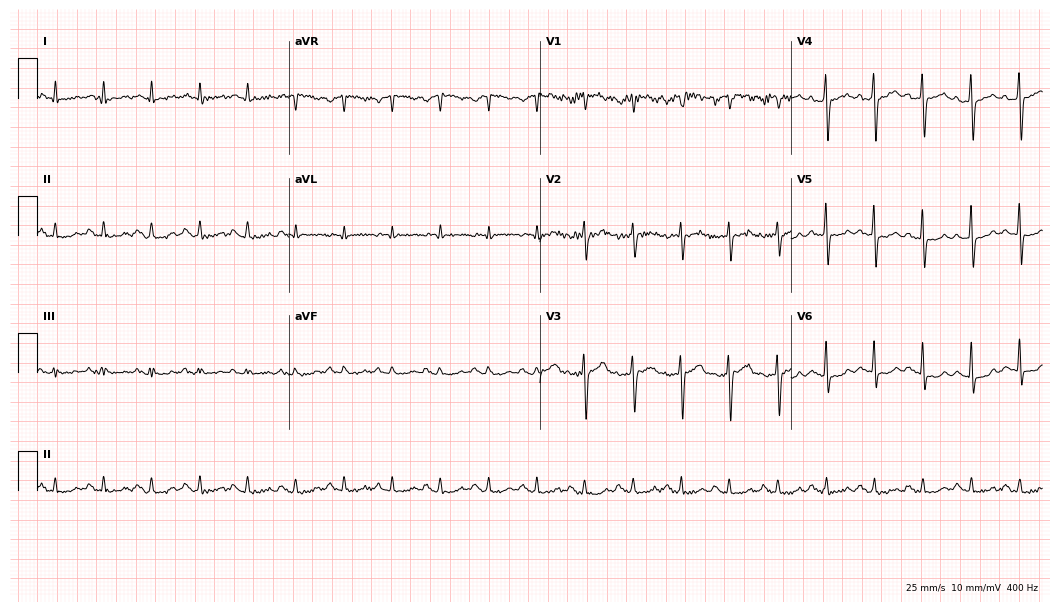
12-lead ECG from a 77-year-old male patient. Shows sinus tachycardia (a sinus rate of 100 beats per minute or more).